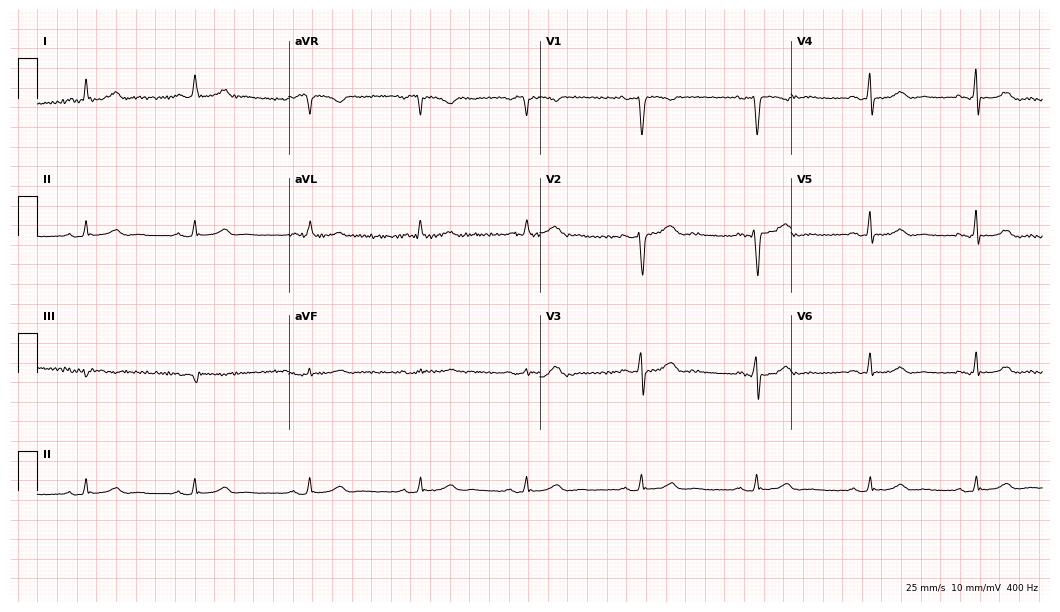
Standard 12-lead ECG recorded from a 52-year-old female. None of these six findings is recorded: first-degree AV block, right bundle branch block, left bundle branch block, sinus bradycardia, atrial fibrillation, sinus tachycardia.